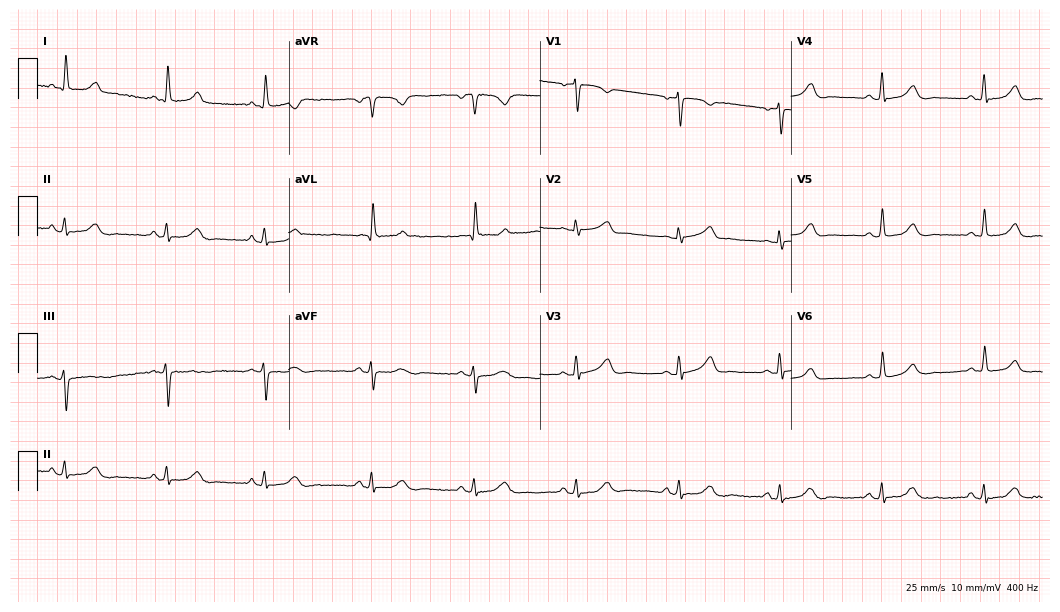
Resting 12-lead electrocardiogram. Patient: an 85-year-old woman. Read as a normal ECG.